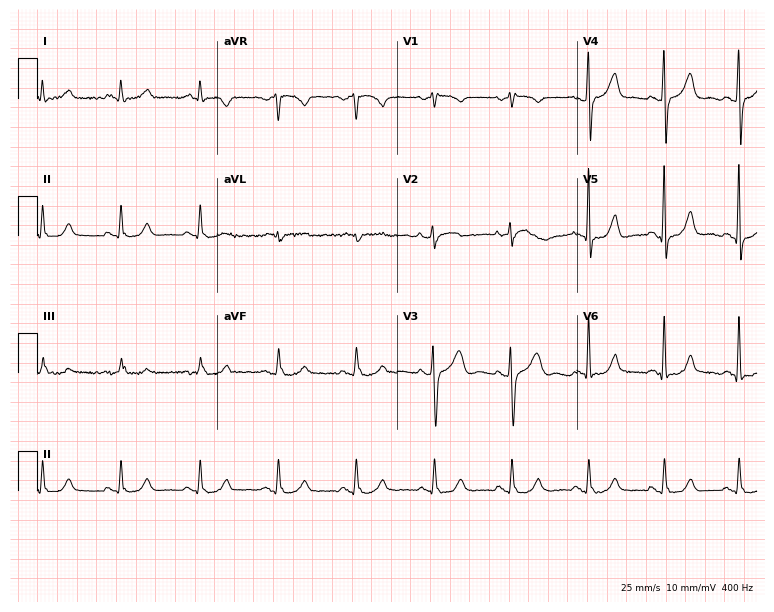
ECG — a 57-year-old man. Screened for six findings — first-degree AV block, right bundle branch block, left bundle branch block, sinus bradycardia, atrial fibrillation, sinus tachycardia — none is recorded.